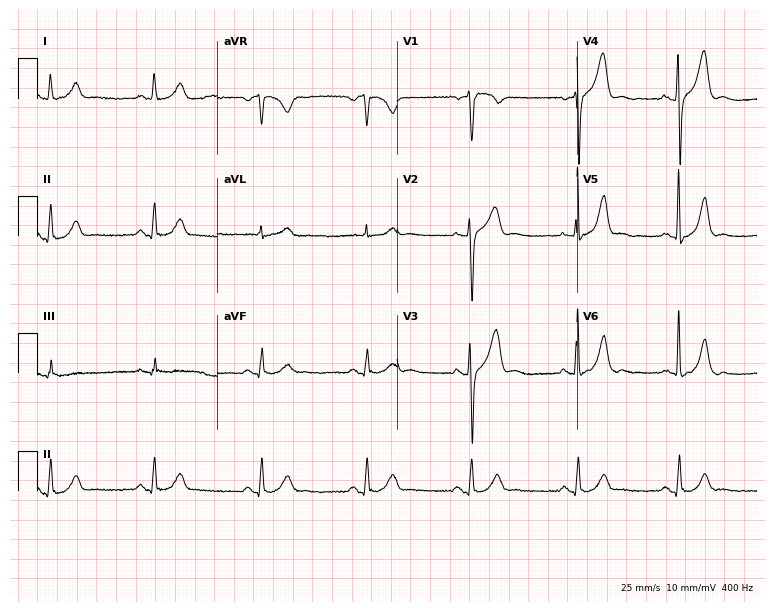
Electrocardiogram (7.3-second recording at 400 Hz), a 66-year-old male patient. Overall reading on record: normal ECG.